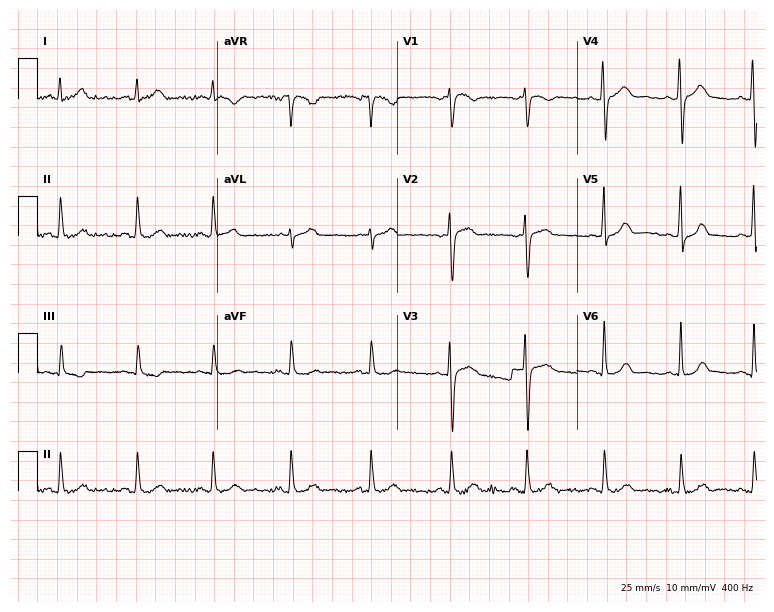
Resting 12-lead electrocardiogram (7.3-second recording at 400 Hz). Patient: a 46-year-old woman. Read as a normal ECG.